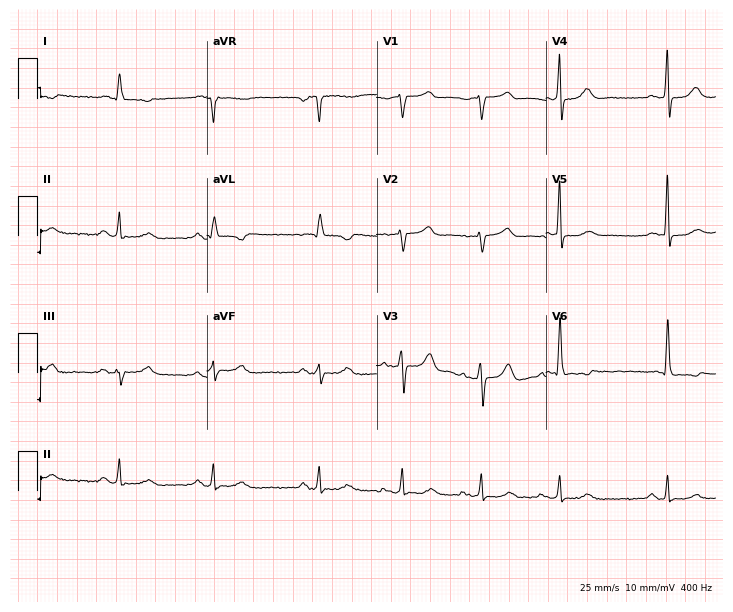
12-lead ECG from a 68-year-old male. Screened for six findings — first-degree AV block, right bundle branch block, left bundle branch block, sinus bradycardia, atrial fibrillation, sinus tachycardia — none is recorded.